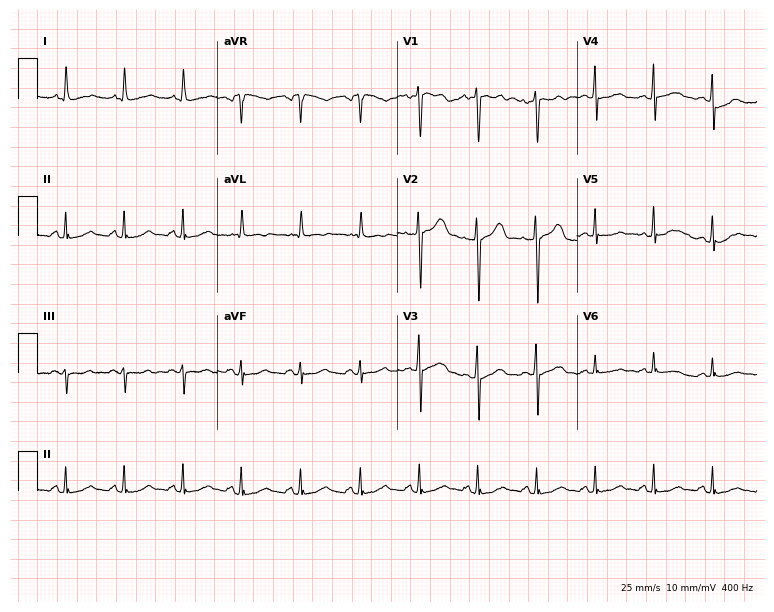
12-lead ECG from a woman, 44 years old (7.3-second recording at 400 Hz). No first-degree AV block, right bundle branch block, left bundle branch block, sinus bradycardia, atrial fibrillation or sinus tachycardia recorded for this tracing.